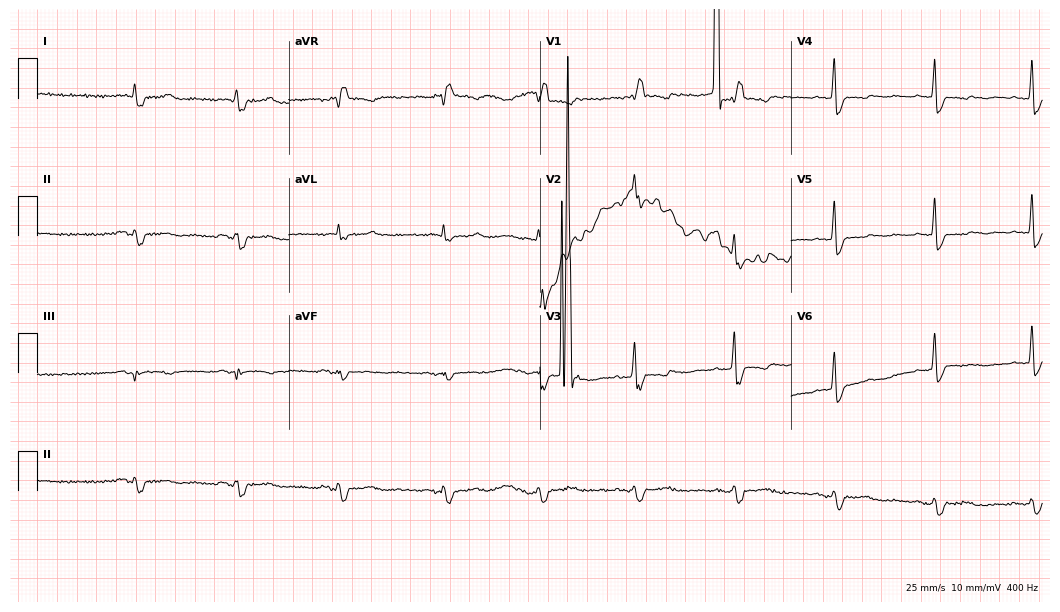
12-lead ECG from a 71-year-old male patient. No first-degree AV block, right bundle branch block, left bundle branch block, sinus bradycardia, atrial fibrillation or sinus tachycardia recorded for this tracing. Other findings, if any, are not listed.